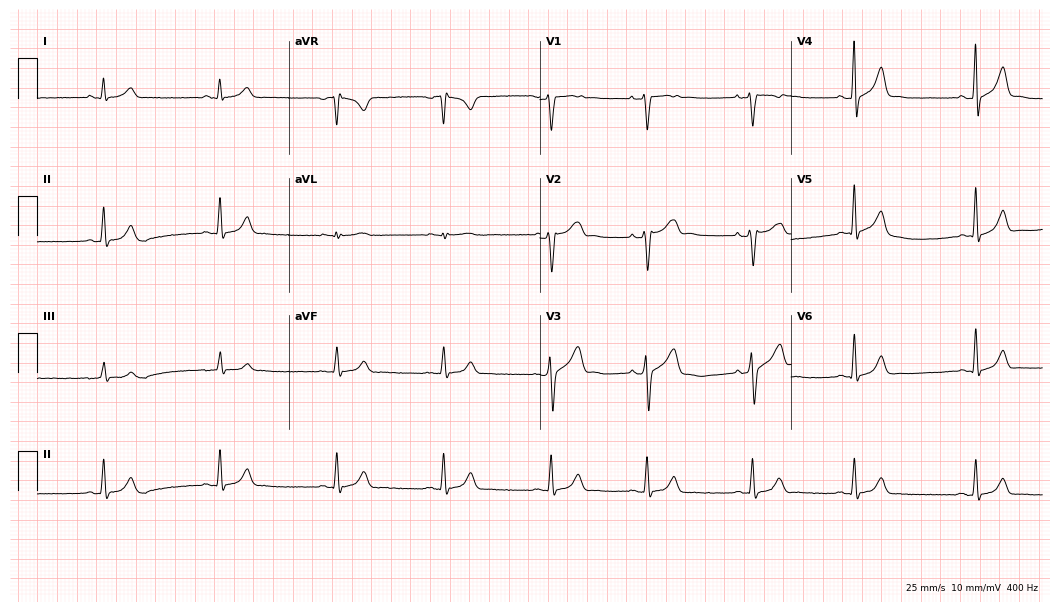
12-lead ECG from a male, 31 years old. Screened for six findings — first-degree AV block, right bundle branch block (RBBB), left bundle branch block (LBBB), sinus bradycardia, atrial fibrillation (AF), sinus tachycardia — none is recorded. Findings outside these six are not listed.